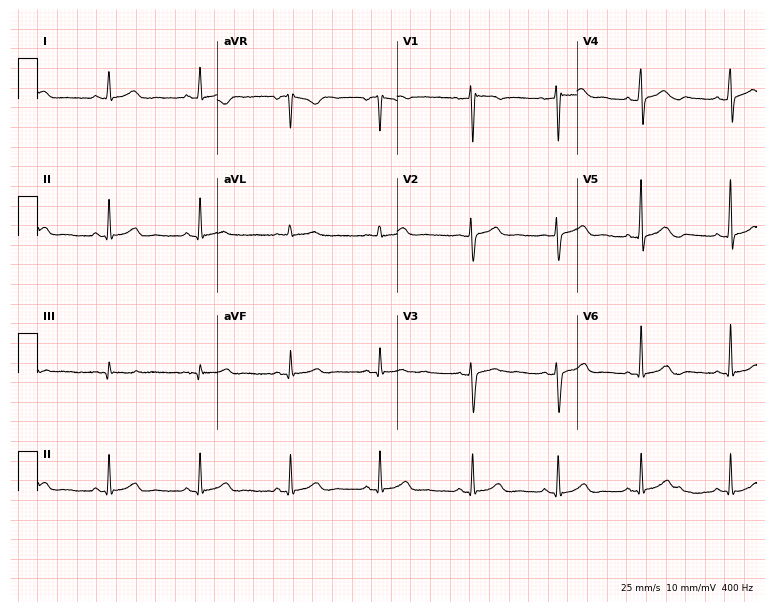
Resting 12-lead electrocardiogram. Patient: a 31-year-old male. Read as a normal ECG.